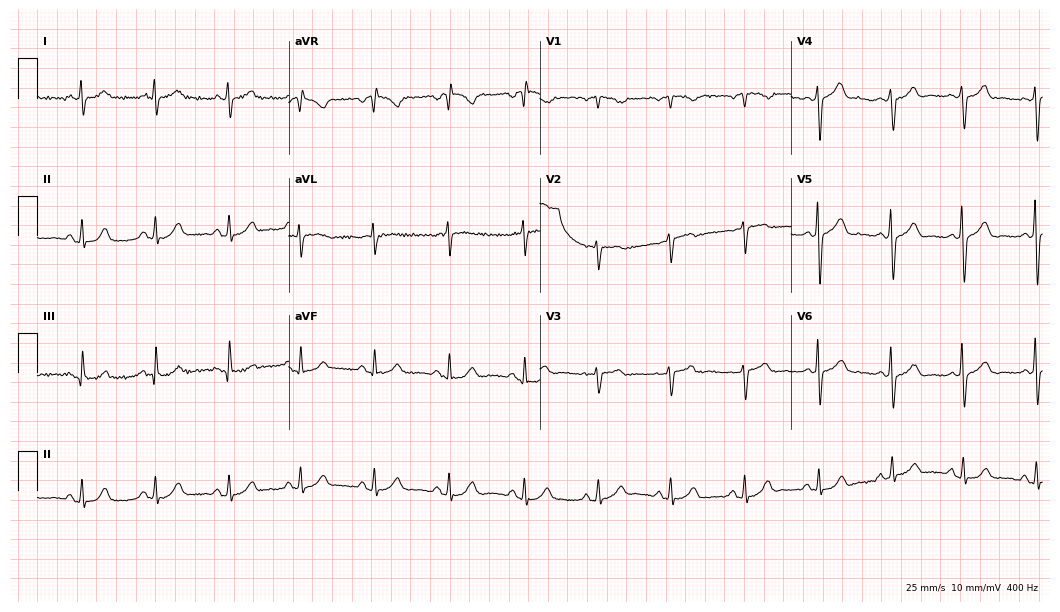
ECG (10.2-second recording at 400 Hz) — a 58-year-old female. Screened for six findings — first-degree AV block, right bundle branch block, left bundle branch block, sinus bradycardia, atrial fibrillation, sinus tachycardia — none is recorded. Only these six findings were labelled.